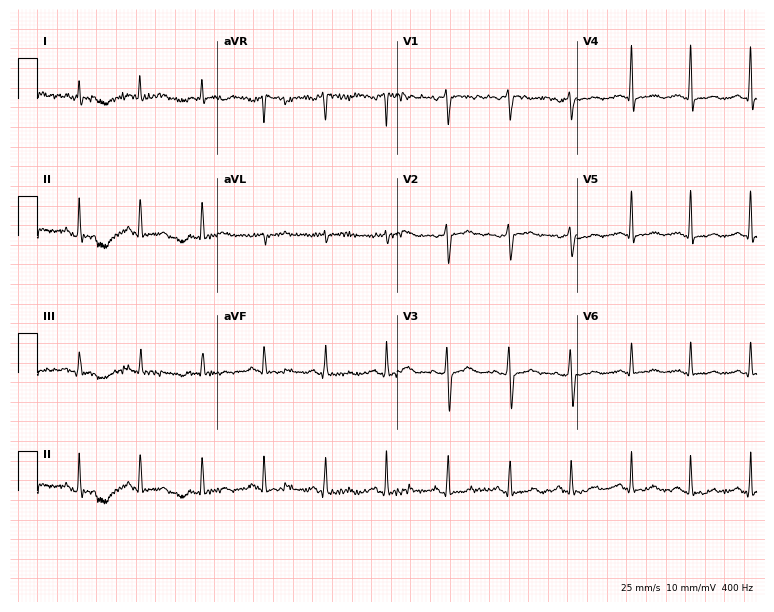
ECG (7.3-second recording at 400 Hz) — a 51-year-old woman. Screened for six findings — first-degree AV block, right bundle branch block, left bundle branch block, sinus bradycardia, atrial fibrillation, sinus tachycardia — none is recorded. Findings outside these six are not listed.